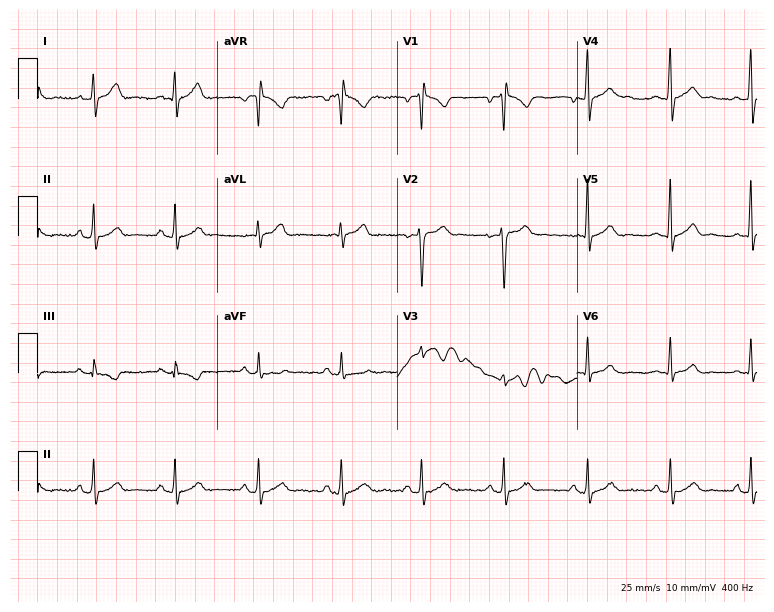
Standard 12-lead ECG recorded from a 23-year-old male. None of these six findings is recorded: first-degree AV block, right bundle branch block (RBBB), left bundle branch block (LBBB), sinus bradycardia, atrial fibrillation (AF), sinus tachycardia.